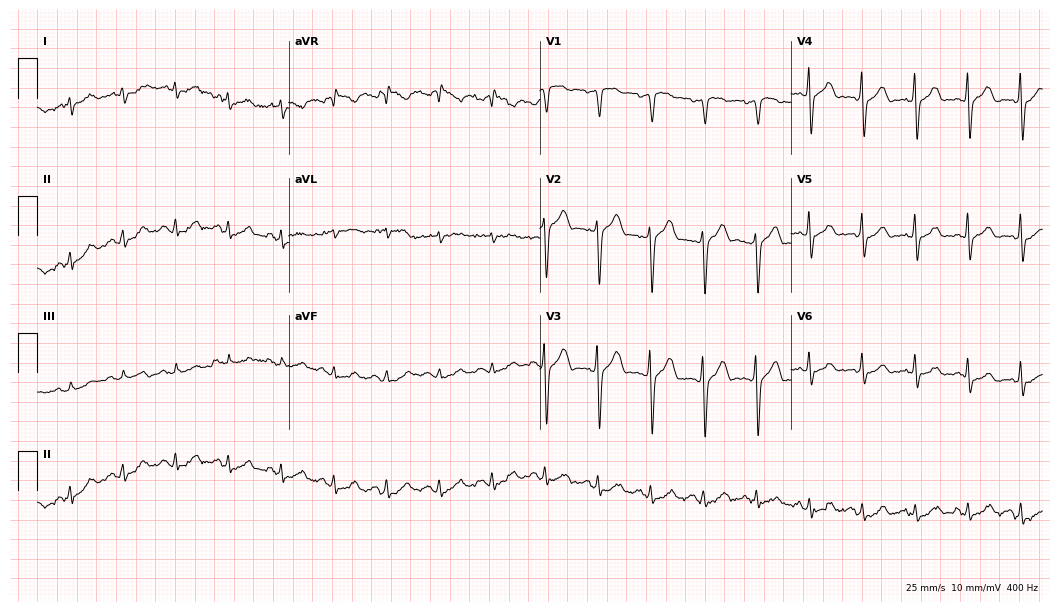
Standard 12-lead ECG recorded from a male patient, 79 years old (10.2-second recording at 400 Hz). The tracing shows sinus tachycardia (a sinus rate of 100 beats per minute or more).